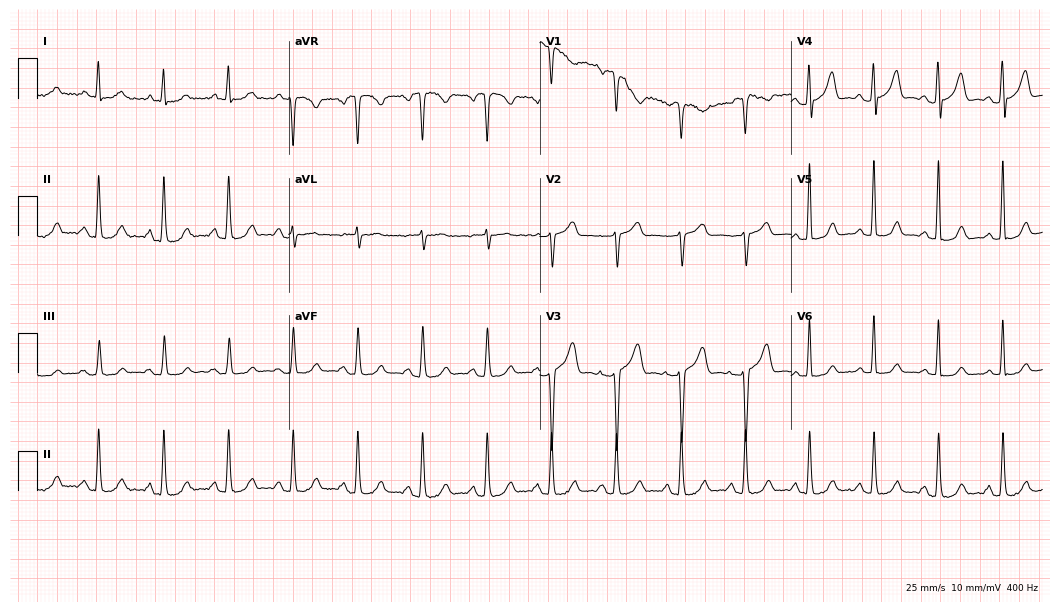
12-lead ECG from a 73-year-old male. No first-degree AV block, right bundle branch block, left bundle branch block, sinus bradycardia, atrial fibrillation or sinus tachycardia recorded for this tracing.